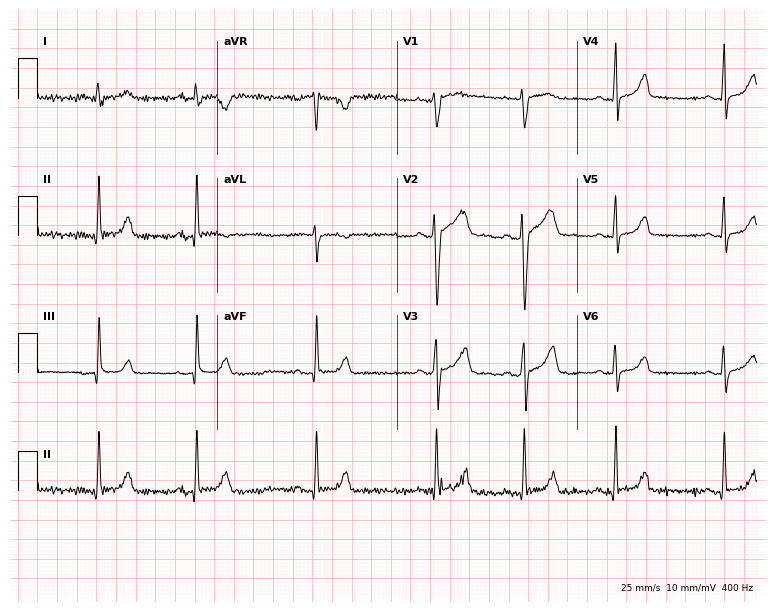
Resting 12-lead electrocardiogram. Patient: a female, 26 years old. None of these six findings is recorded: first-degree AV block, right bundle branch block (RBBB), left bundle branch block (LBBB), sinus bradycardia, atrial fibrillation (AF), sinus tachycardia.